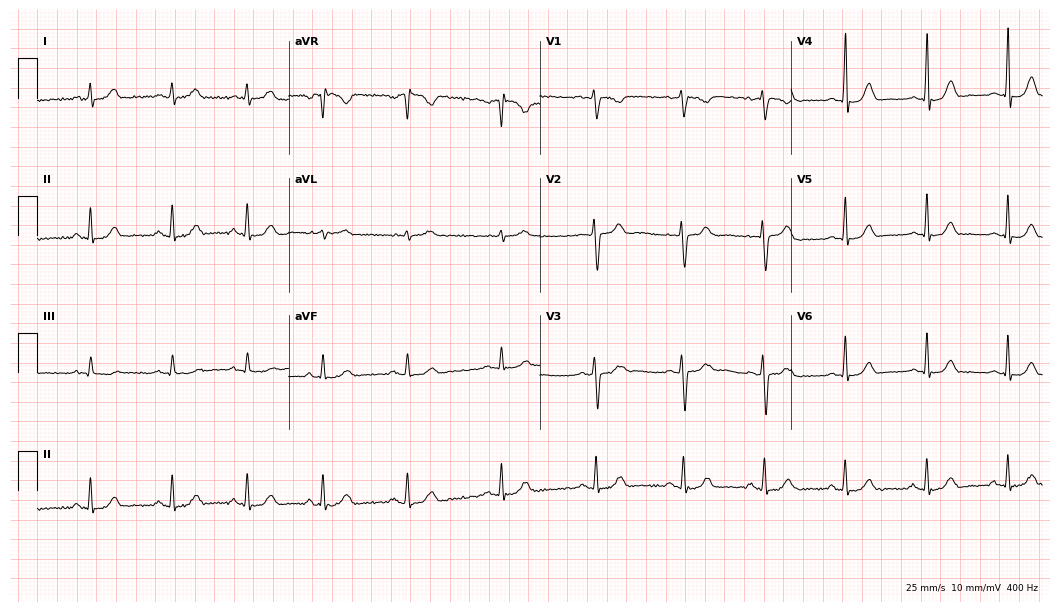
Electrocardiogram (10.2-second recording at 400 Hz), a female patient, 32 years old. Overall reading on record: normal ECG.